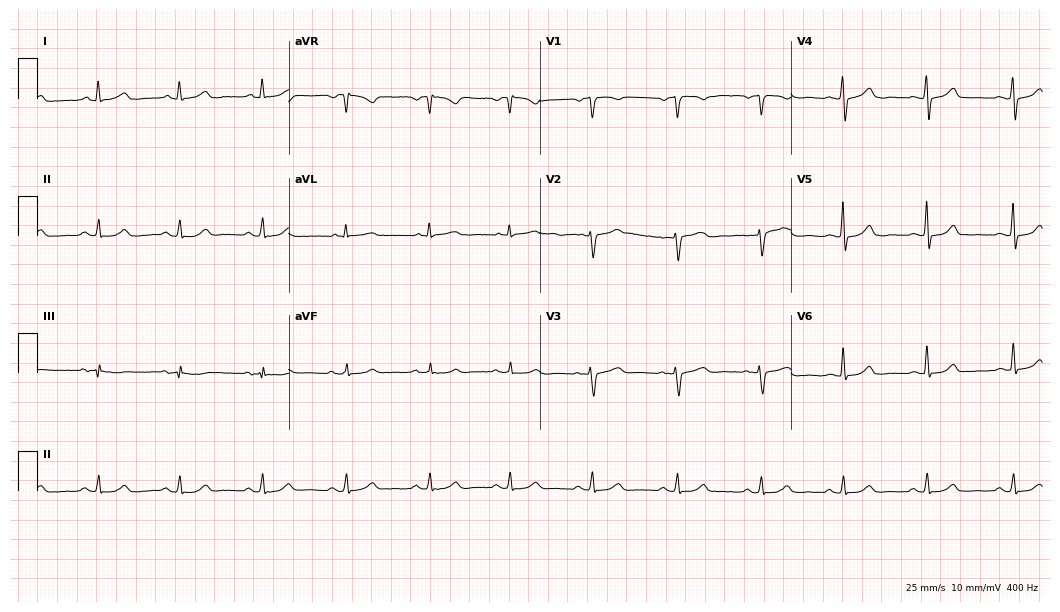
12-lead ECG (10.2-second recording at 400 Hz) from a 55-year-old woman. Labelled as a normal ECG.